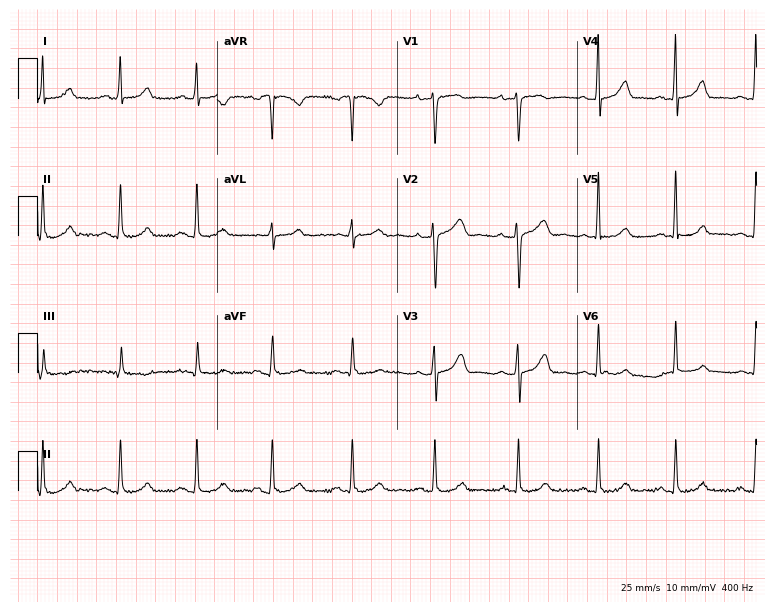
Standard 12-lead ECG recorded from a woman, 39 years old. Read as a normal ECG.